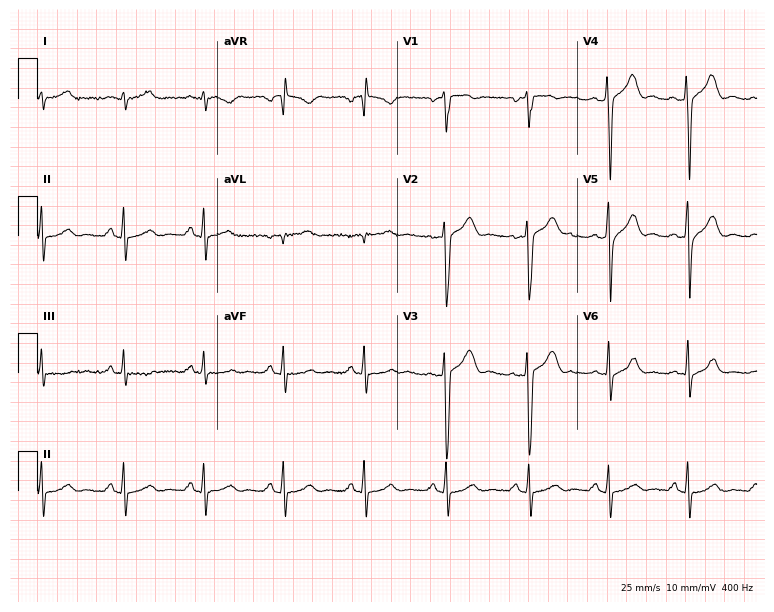
12-lead ECG (7.3-second recording at 400 Hz) from a 42-year-old male. Screened for six findings — first-degree AV block, right bundle branch block, left bundle branch block, sinus bradycardia, atrial fibrillation, sinus tachycardia — none is recorded. Only these six findings were labelled.